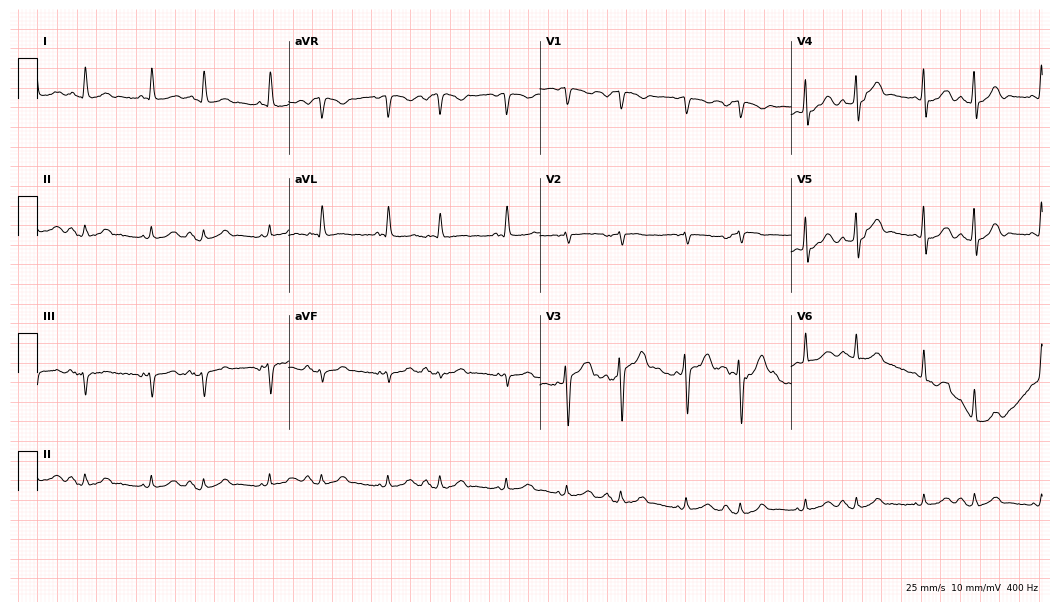
Standard 12-lead ECG recorded from an 81-year-old male (10.2-second recording at 400 Hz). None of these six findings is recorded: first-degree AV block, right bundle branch block, left bundle branch block, sinus bradycardia, atrial fibrillation, sinus tachycardia.